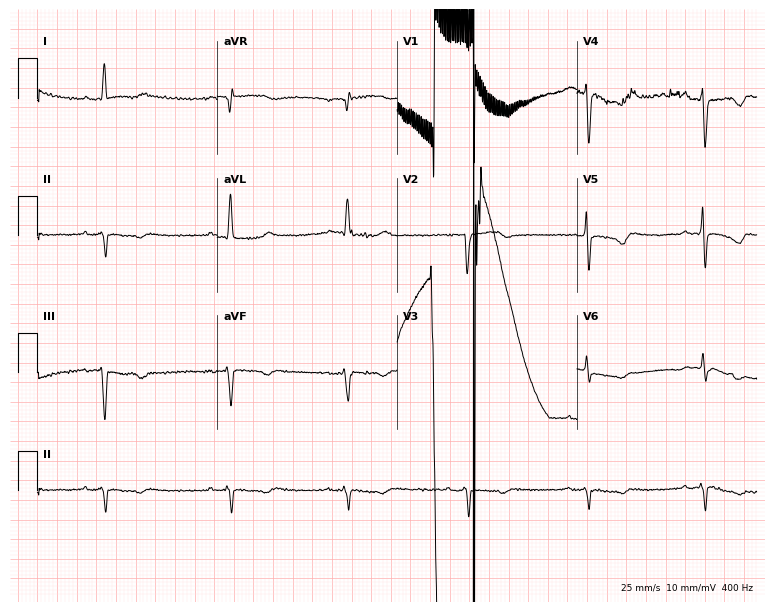
ECG (7.3-second recording at 400 Hz) — a woman, 80 years old. Findings include atrial fibrillation.